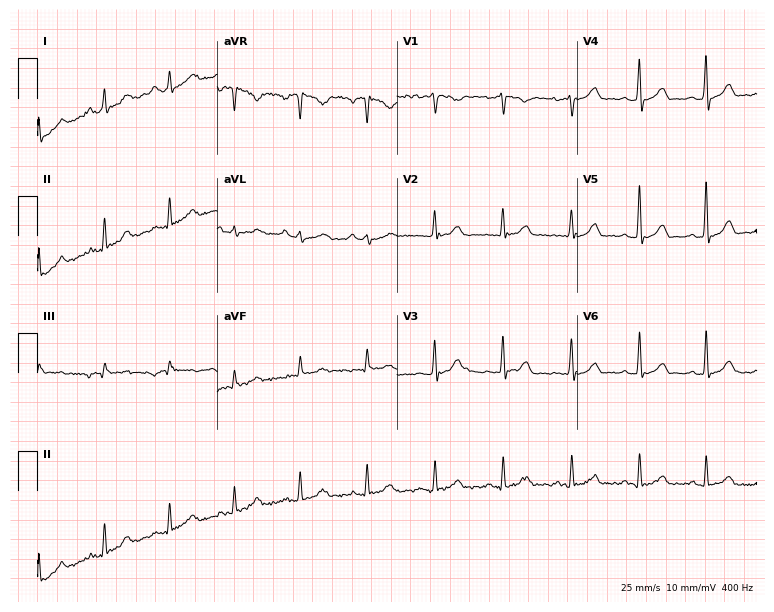
Electrocardiogram, a female patient, 41 years old. Of the six screened findings (first-degree AV block, right bundle branch block (RBBB), left bundle branch block (LBBB), sinus bradycardia, atrial fibrillation (AF), sinus tachycardia), none is recorded.